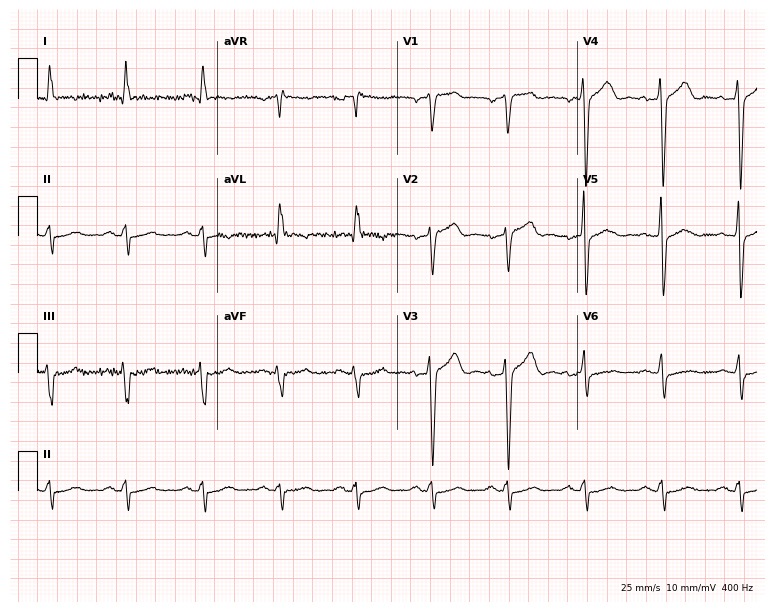
Resting 12-lead electrocardiogram (7.3-second recording at 400 Hz). Patient: a male, 62 years old. None of these six findings is recorded: first-degree AV block, right bundle branch block, left bundle branch block, sinus bradycardia, atrial fibrillation, sinus tachycardia. Findings outside these six are not listed.